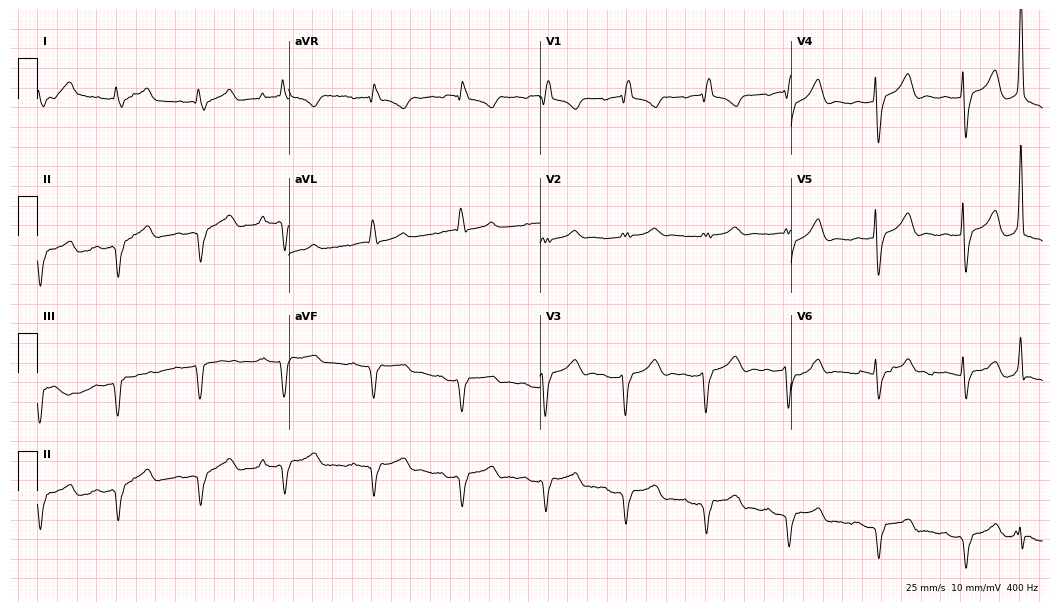
Standard 12-lead ECG recorded from a woman, 72 years old (10.2-second recording at 400 Hz). None of these six findings is recorded: first-degree AV block, right bundle branch block, left bundle branch block, sinus bradycardia, atrial fibrillation, sinus tachycardia. Other findings, if any, are not listed.